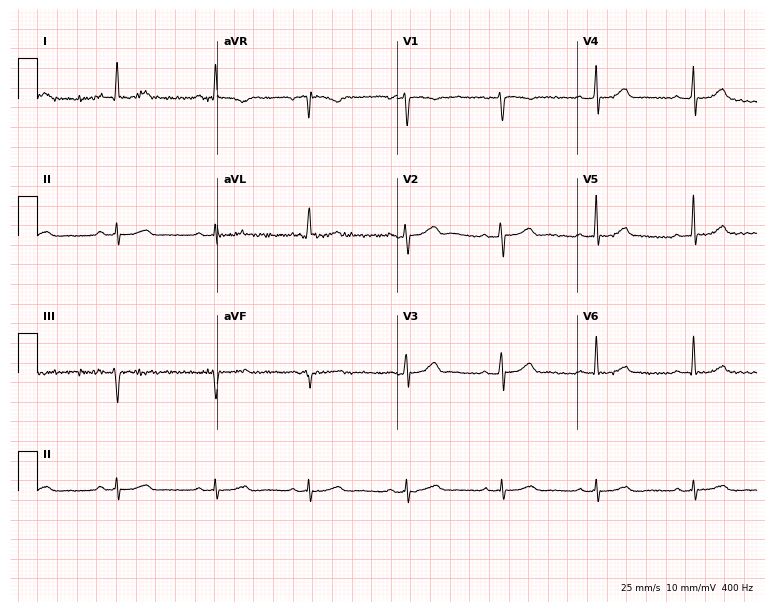
12-lead ECG from a 66-year-old woman. Screened for six findings — first-degree AV block, right bundle branch block, left bundle branch block, sinus bradycardia, atrial fibrillation, sinus tachycardia — none is recorded. Findings outside these six are not listed.